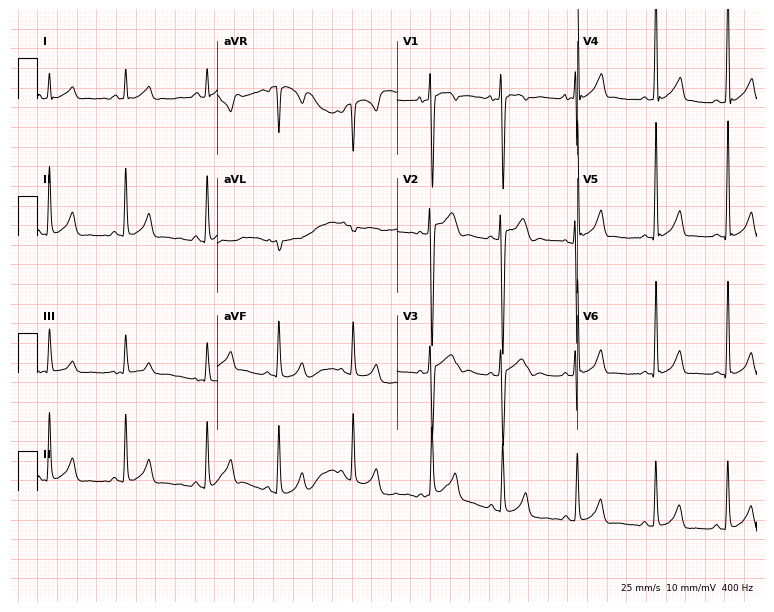
12-lead ECG from a male patient, 79 years old. Screened for six findings — first-degree AV block, right bundle branch block (RBBB), left bundle branch block (LBBB), sinus bradycardia, atrial fibrillation (AF), sinus tachycardia — none is recorded. Other findings, if any, are not listed.